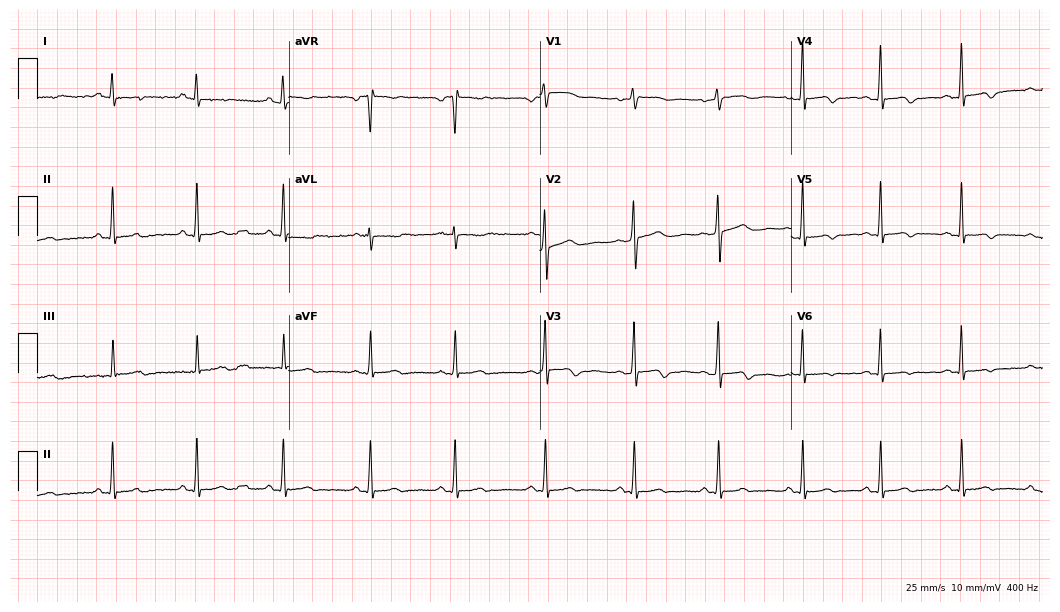
12-lead ECG from a 56-year-old female. No first-degree AV block, right bundle branch block, left bundle branch block, sinus bradycardia, atrial fibrillation or sinus tachycardia recorded for this tracing. Only these six findings were labelled.